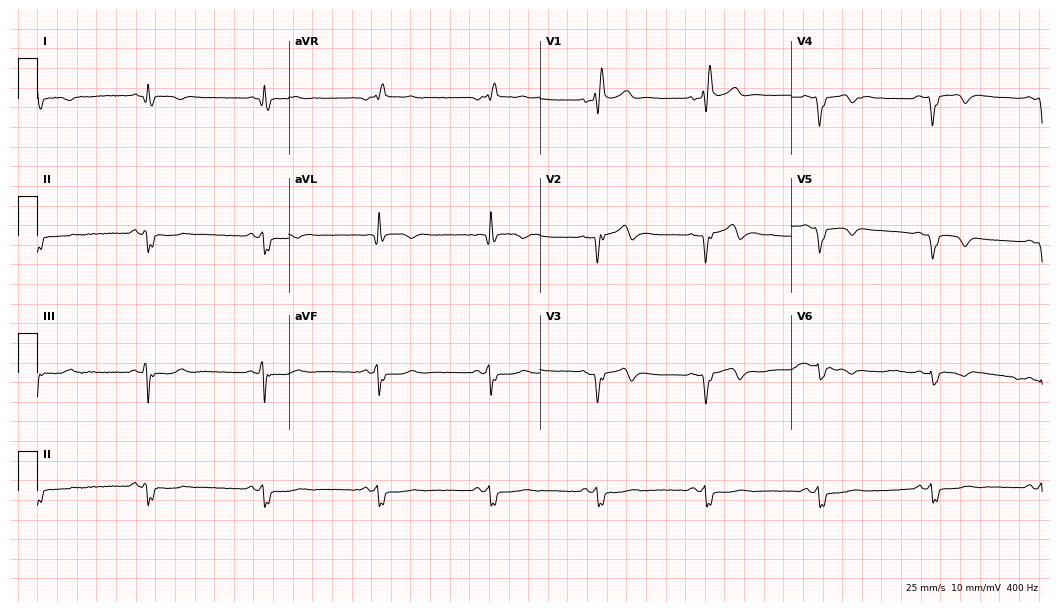
12-lead ECG from a male, 69 years old (10.2-second recording at 400 Hz). Shows right bundle branch block.